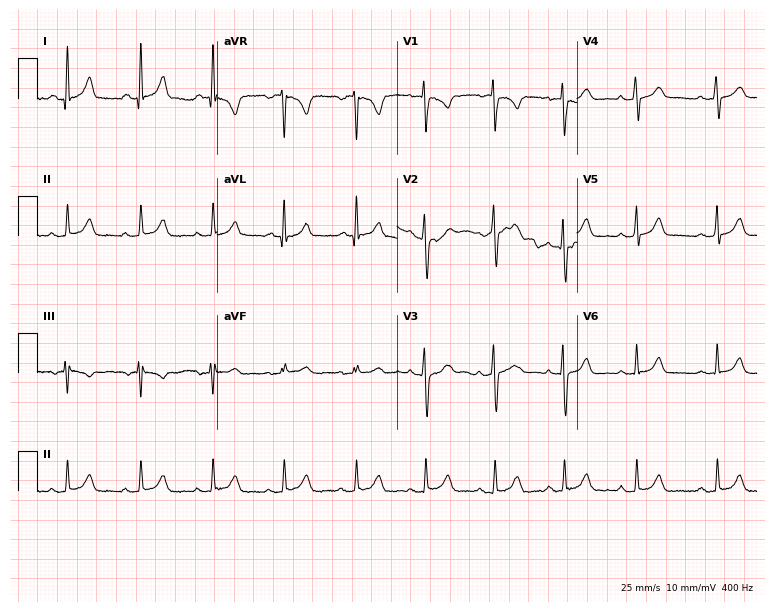
Electrocardiogram (7.3-second recording at 400 Hz), a woman, 30 years old. Overall reading on record: normal ECG.